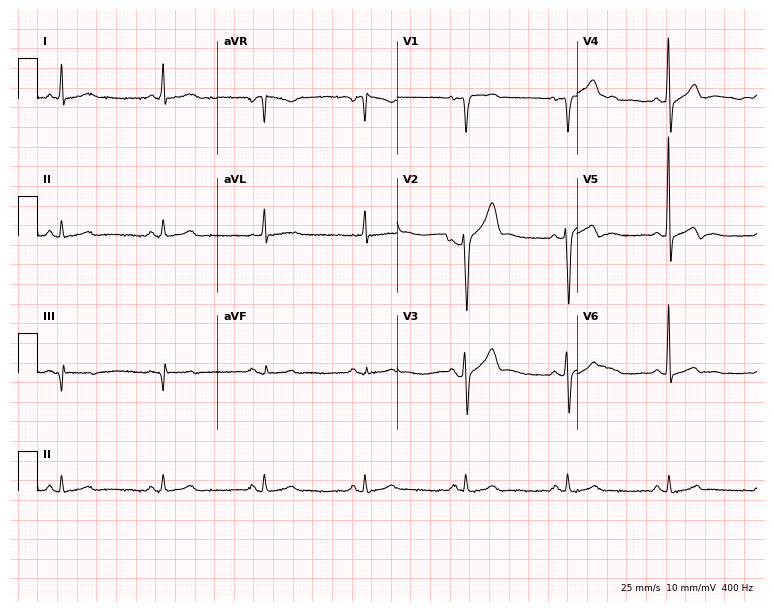
Electrocardiogram (7.3-second recording at 400 Hz), a 74-year-old male. Overall reading on record: normal ECG.